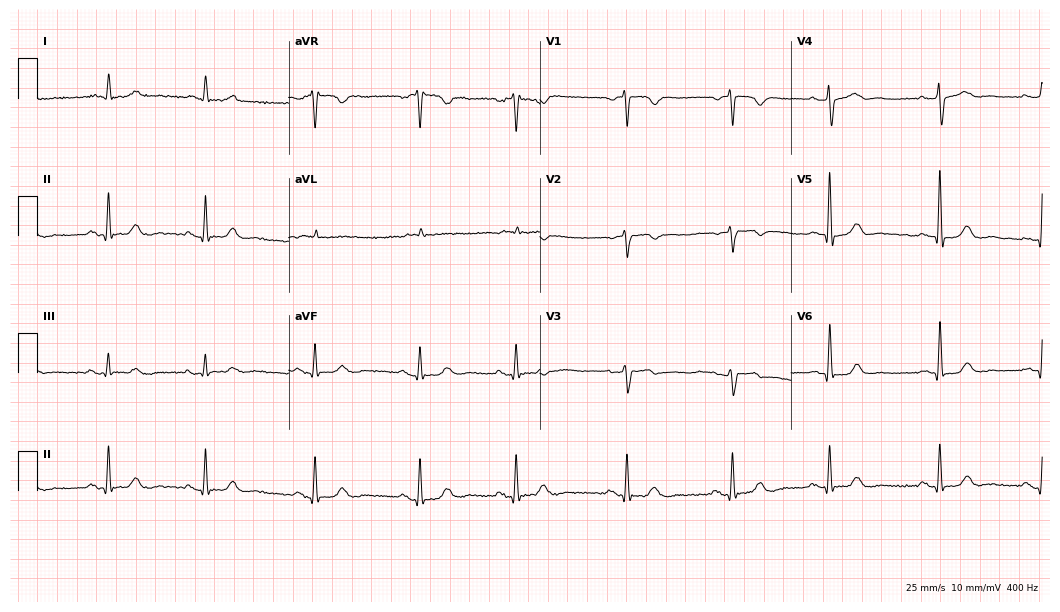
Standard 12-lead ECG recorded from a 78-year-old male patient (10.2-second recording at 400 Hz). Read as a normal ECG.